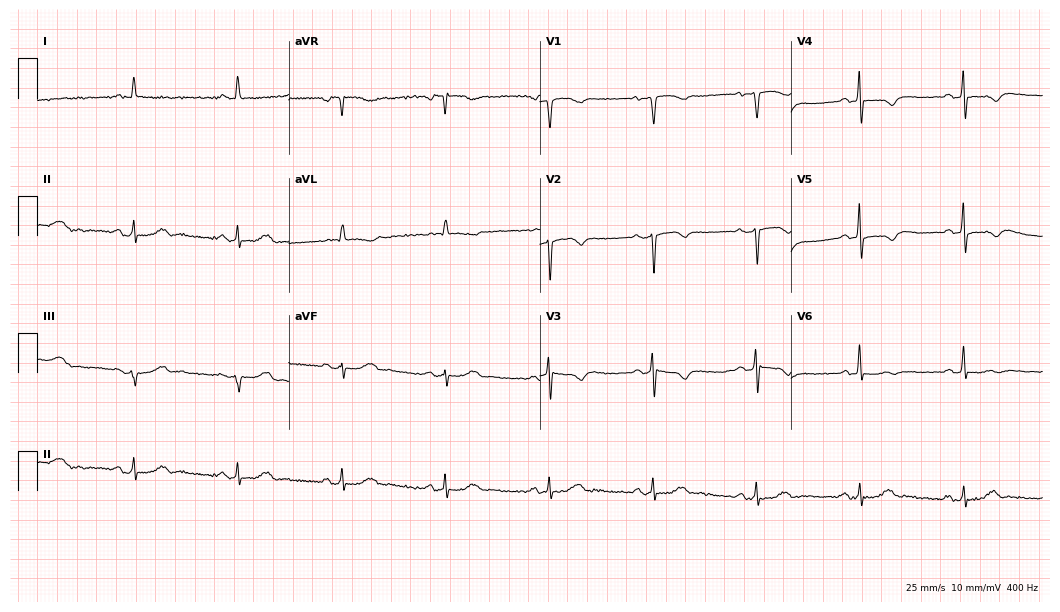
ECG (10.2-second recording at 400 Hz) — an 83-year-old female patient. Screened for six findings — first-degree AV block, right bundle branch block (RBBB), left bundle branch block (LBBB), sinus bradycardia, atrial fibrillation (AF), sinus tachycardia — none is recorded.